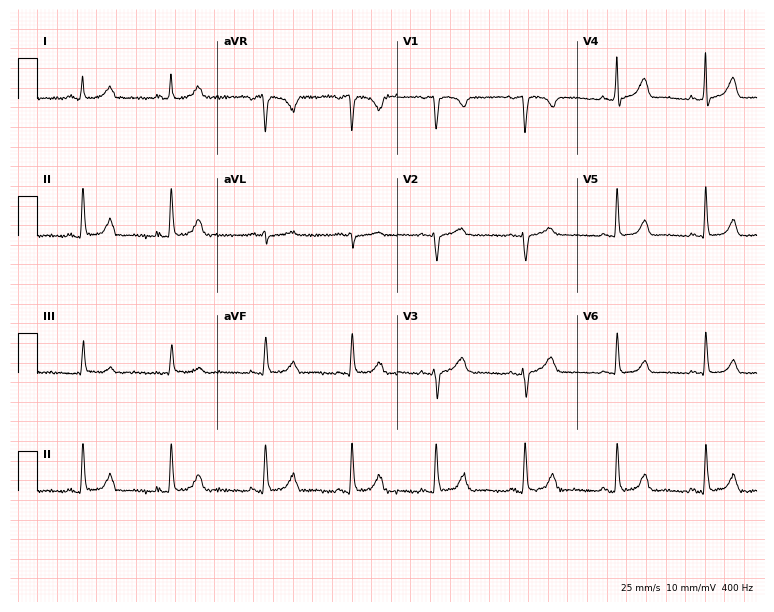
Electrocardiogram, a 54-year-old female patient. Of the six screened findings (first-degree AV block, right bundle branch block (RBBB), left bundle branch block (LBBB), sinus bradycardia, atrial fibrillation (AF), sinus tachycardia), none is recorded.